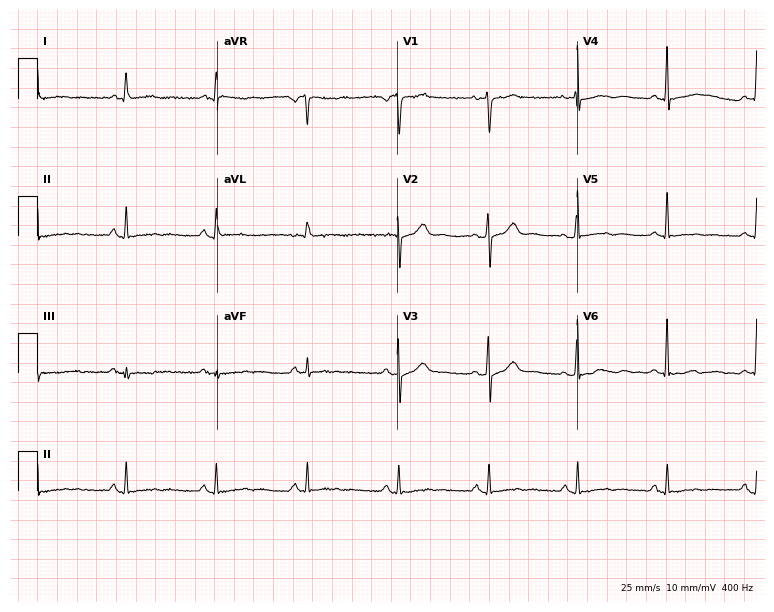
Electrocardiogram (7.3-second recording at 400 Hz), a 53-year-old female patient. Of the six screened findings (first-degree AV block, right bundle branch block, left bundle branch block, sinus bradycardia, atrial fibrillation, sinus tachycardia), none is recorded. Findings outside these six are not listed.